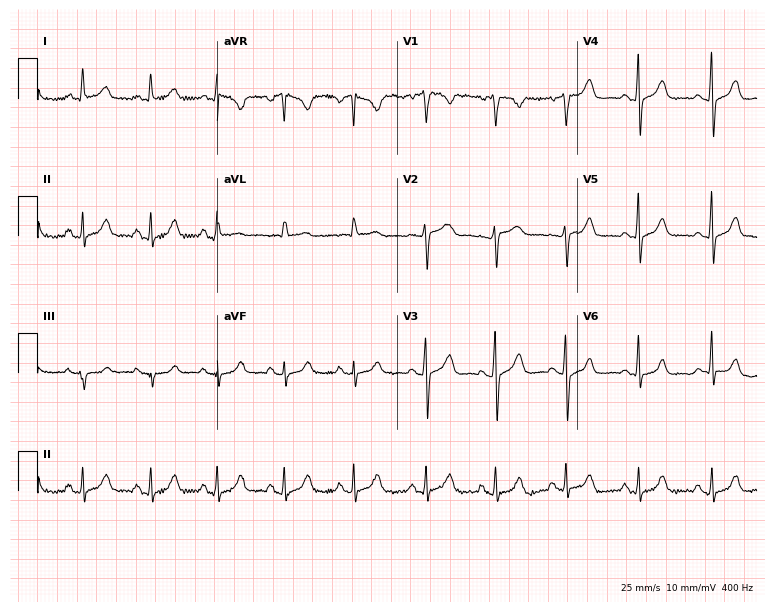
Resting 12-lead electrocardiogram. Patient: a 45-year-old female. Read as a normal ECG.